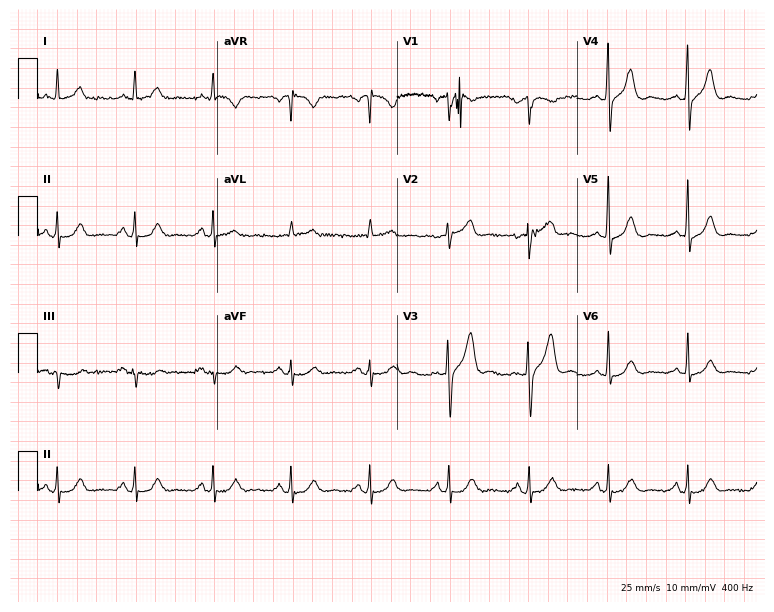
Electrocardiogram (7.3-second recording at 400 Hz), a 72-year-old man. Of the six screened findings (first-degree AV block, right bundle branch block (RBBB), left bundle branch block (LBBB), sinus bradycardia, atrial fibrillation (AF), sinus tachycardia), none is recorded.